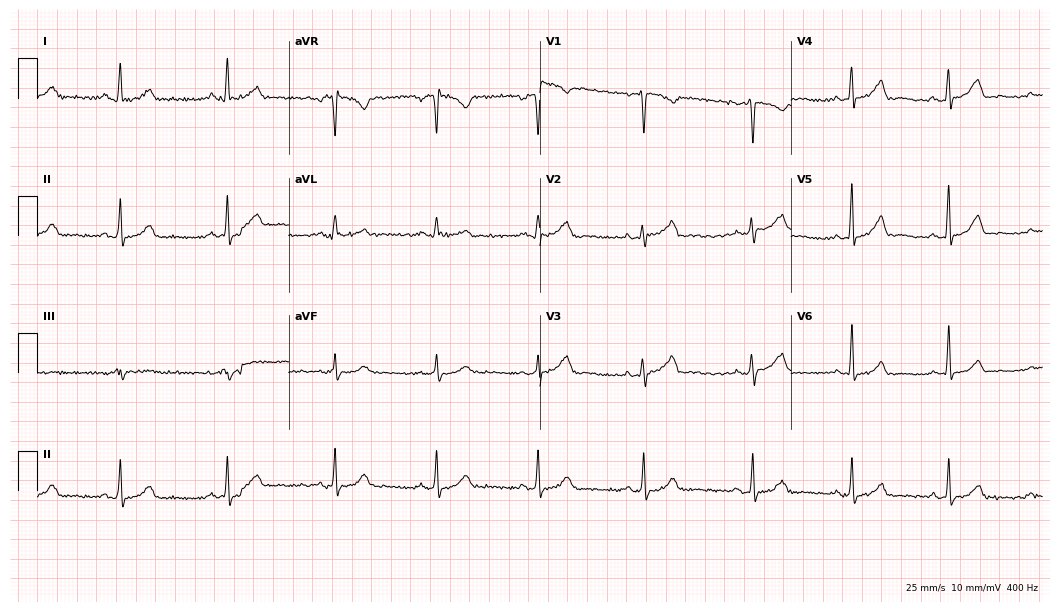
Standard 12-lead ECG recorded from a 31-year-old woman (10.2-second recording at 400 Hz). Read as a normal ECG.